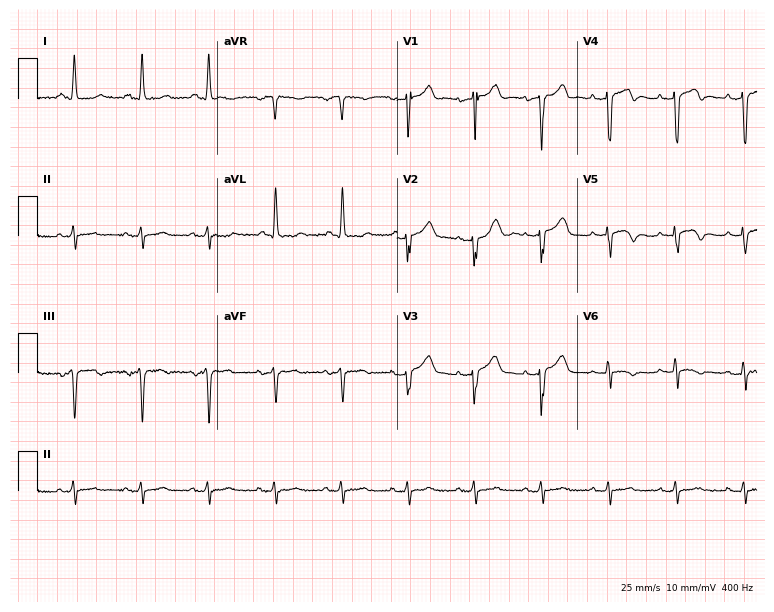
Resting 12-lead electrocardiogram (7.3-second recording at 400 Hz). Patient: a woman, 70 years old. None of these six findings is recorded: first-degree AV block, right bundle branch block, left bundle branch block, sinus bradycardia, atrial fibrillation, sinus tachycardia.